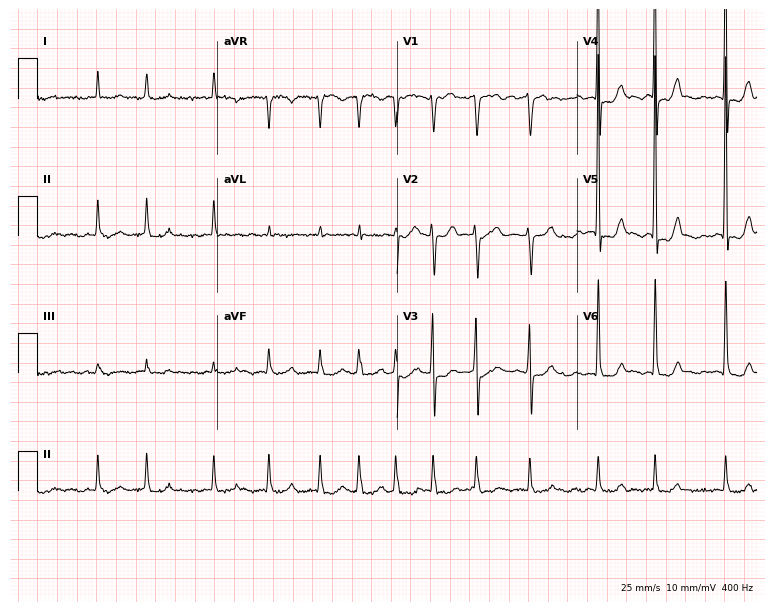
Resting 12-lead electrocardiogram (7.3-second recording at 400 Hz). Patient: an 81-year-old female. The tracing shows atrial fibrillation.